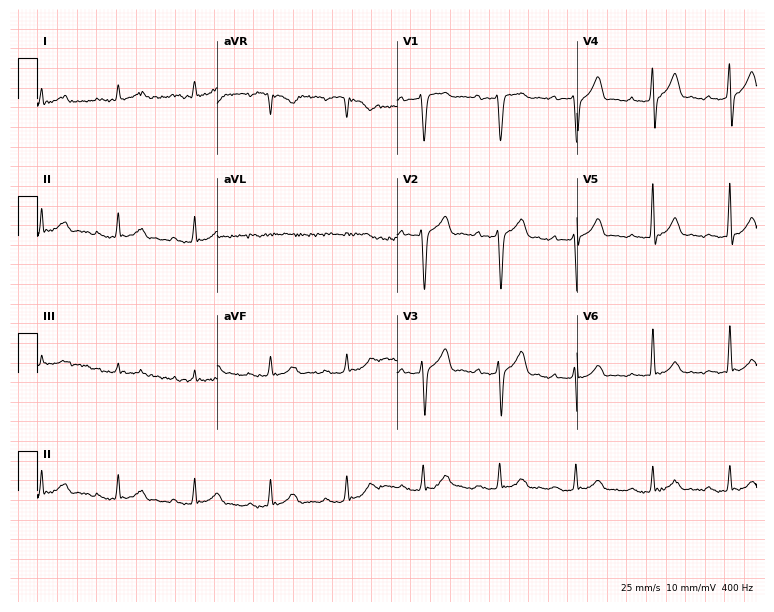
Electrocardiogram, a 69-year-old male patient. Interpretation includes first-degree AV block.